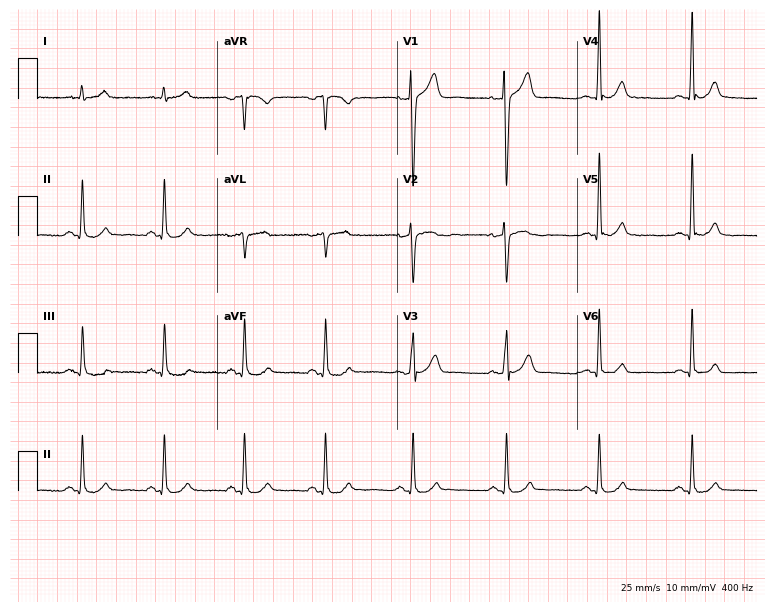
ECG — a male patient, 49 years old. Labelled as a normal ECG.